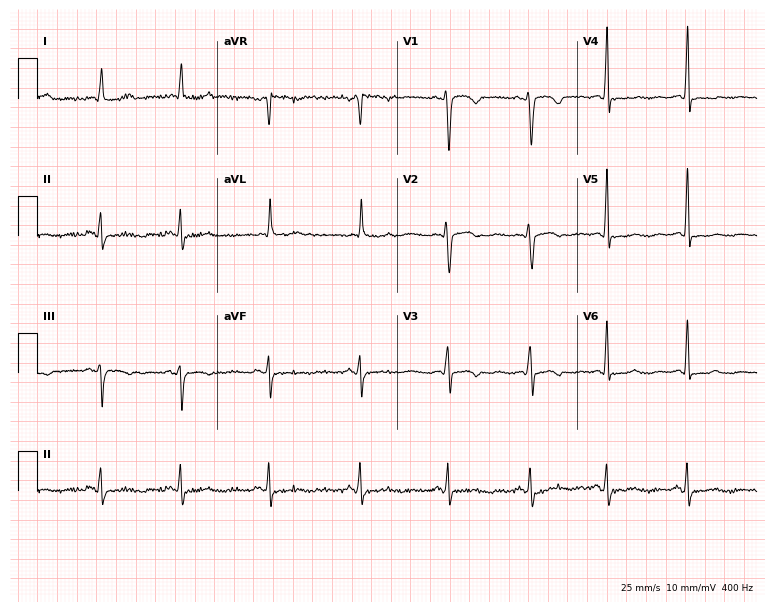
Resting 12-lead electrocardiogram (7.3-second recording at 400 Hz). Patient: a 40-year-old woman. None of these six findings is recorded: first-degree AV block, right bundle branch block, left bundle branch block, sinus bradycardia, atrial fibrillation, sinus tachycardia.